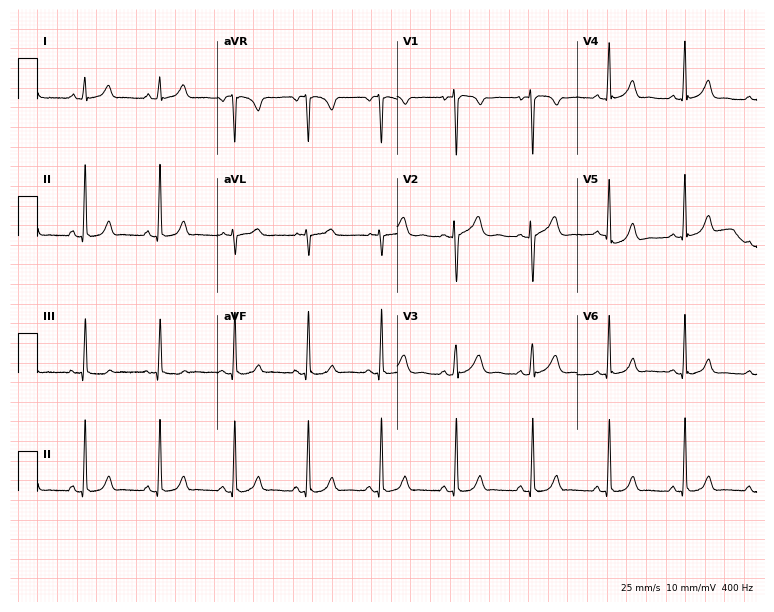
ECG — a woman, 20 years old. Screened for six findings — first-degree AV block, right bundle branch block, left bundle branch block, sinus bradycardia, atrial fibrillation, sinus tachycardia — none is recorded. Findings outside these six are not listed.